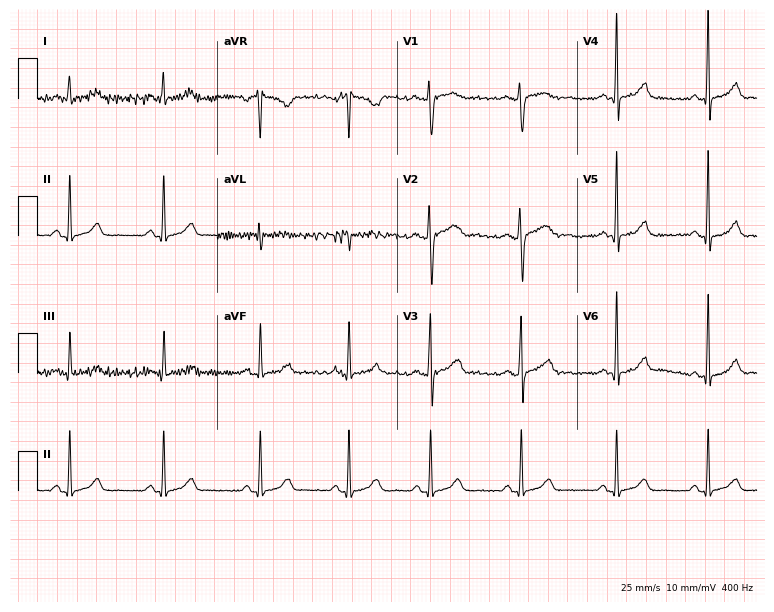
Standard 12-lead ECG recorded from a 34-year-old woman. Read as a normal ECG.